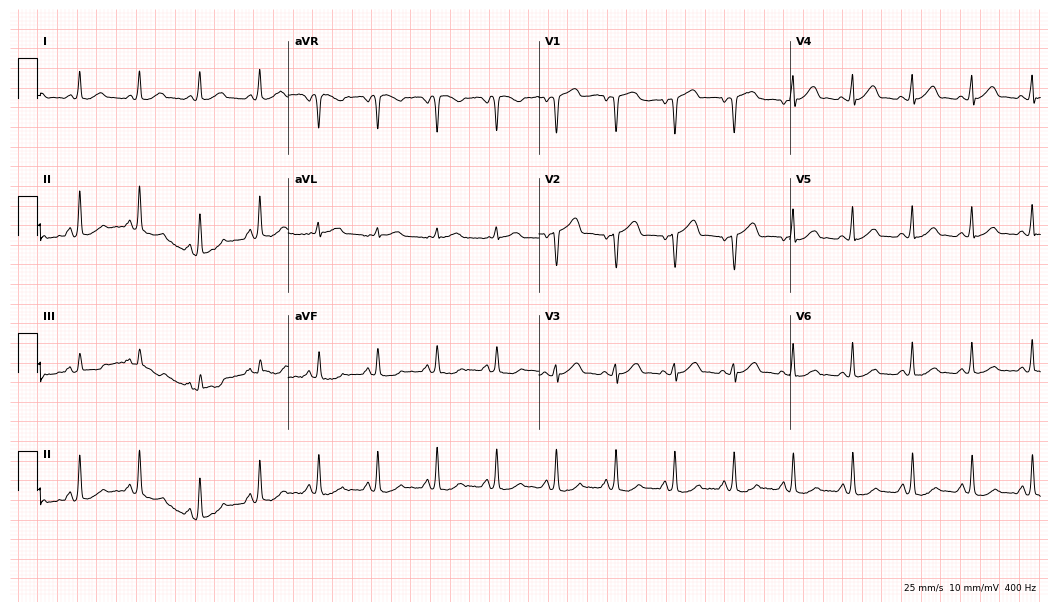
ECG — a 37-year-old female. Labelled as a normal ECG.